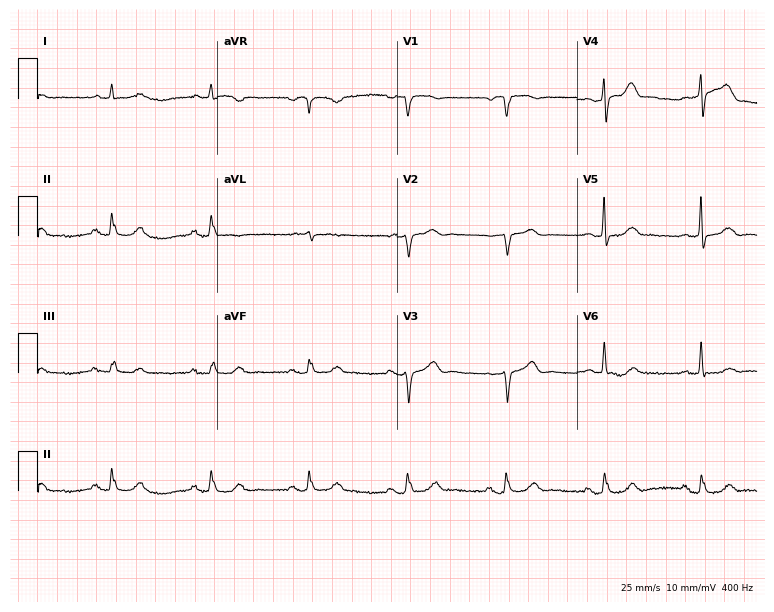
Electrocardiogram (7.3-second recording at 400 Hz), a male, 77 years old. Overall reading on record: normal ECG.